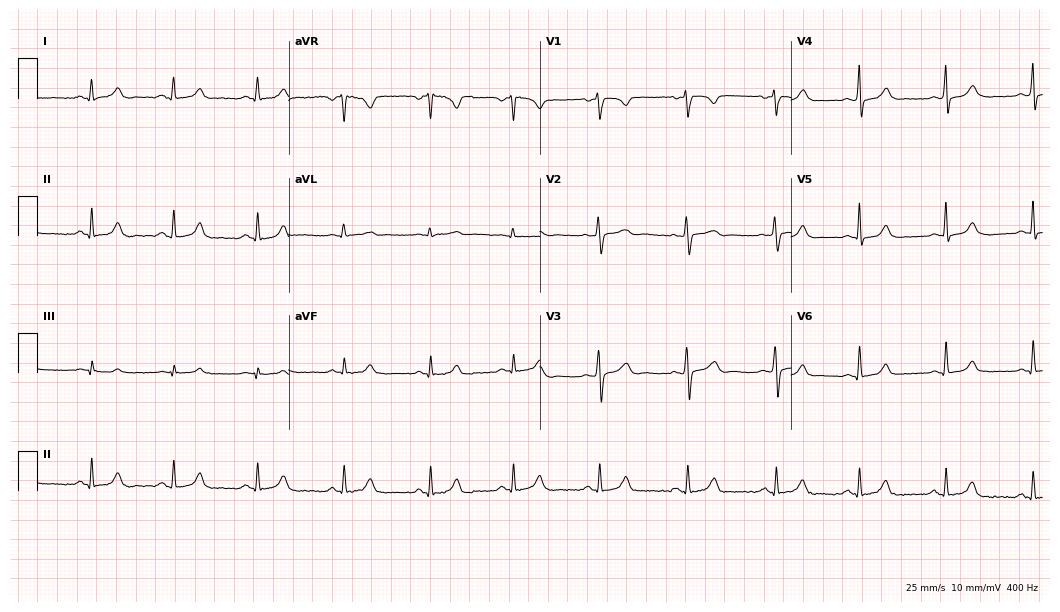
ECG (10.2-second recording at 400 Hz) — a 26-year-old female. Labelled as a normal ECG.